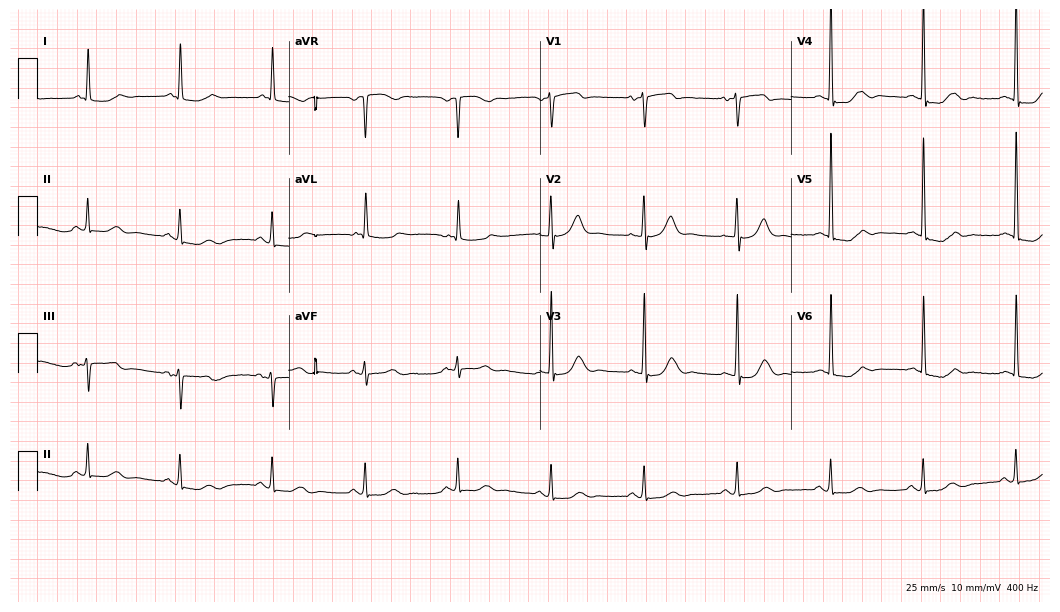
Resting 12-lead electrocardiogram (10.2-second recording at 400 Hz). Patient: a female, 79 years old. None of these six findings is recorded: first-degree AV block, right bundle branch block (RBBB), left bundle branch block (LBBB), sinus bradycardia, atrial fibrillation (AF), sinus tachycardia. Only these six findings were labelled.